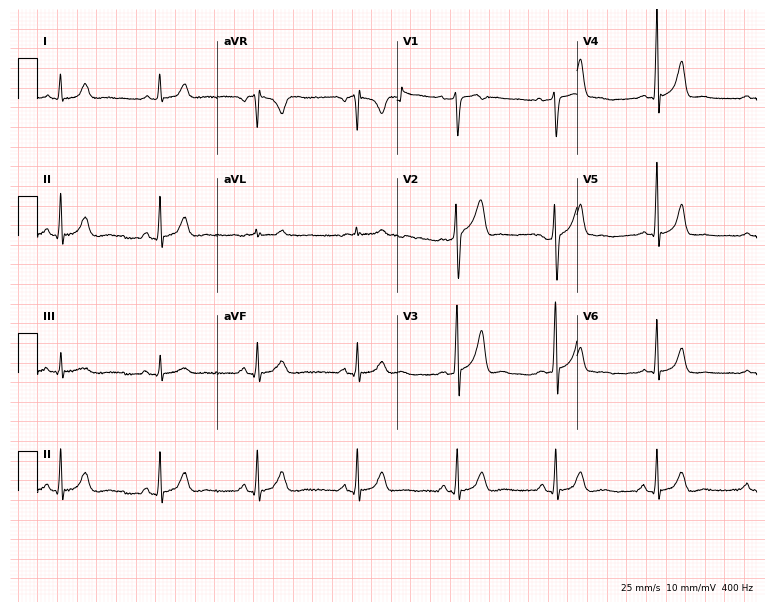
Resting 12-lead electrocardiogram (7.3-second recording at 400 Hz). Patient: a male, 55 years old. Read as a normal ECG.